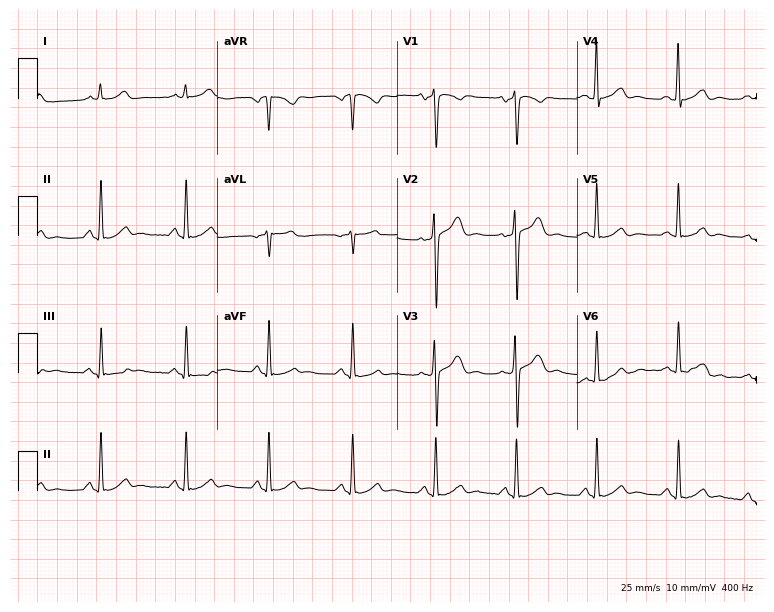
ECG (7.3-second recording at 400 Hz) — a male, 47 years old. Screened for six findings — first-degree AV block, right bundle branch block, left bundle branch block, sinus bradycardia, atrial fibrillation, sinus tachycardia — none is recorded.